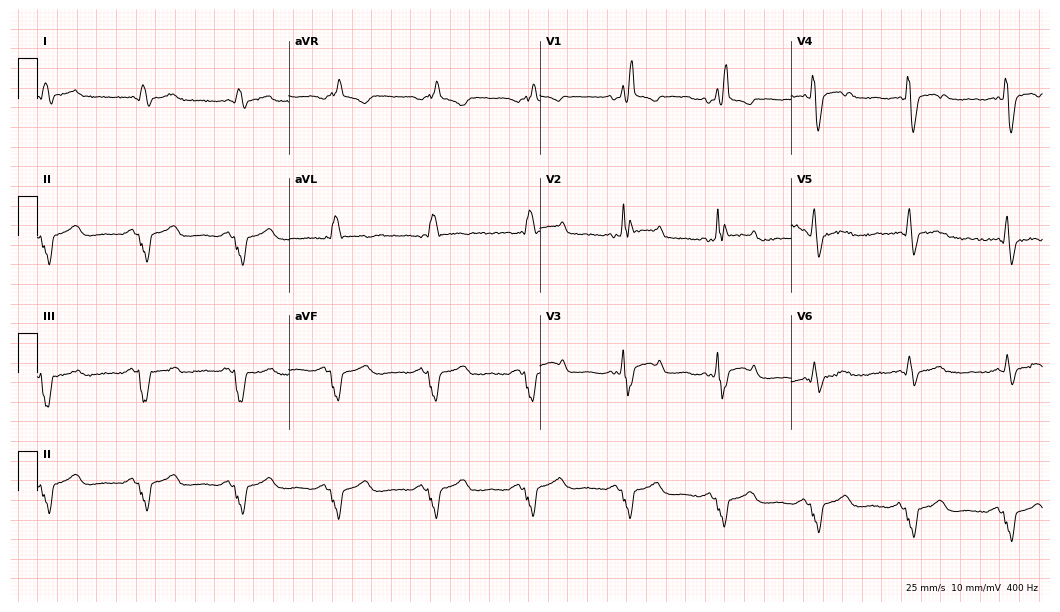
Resting 12-lead electrocardiogram (10.2-second recording at 400 Hz). Patient: a 66-year-old man. The tracing shows right bundle branch block.